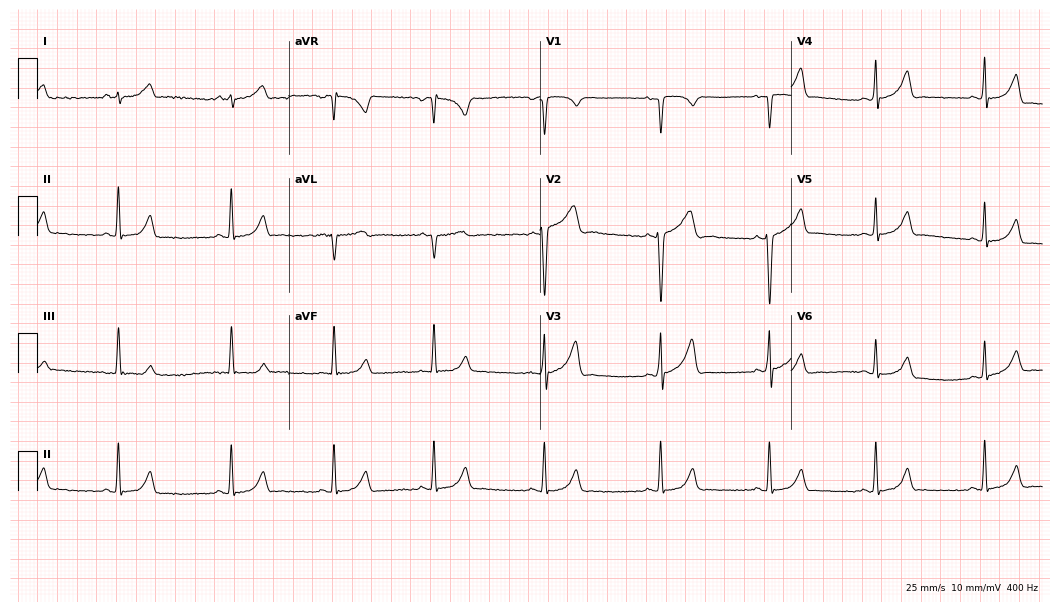
12-lead ECG (10.2-second recording at 400 Hz) from a 31-year-old male patient. Labelled as a normal ECG.